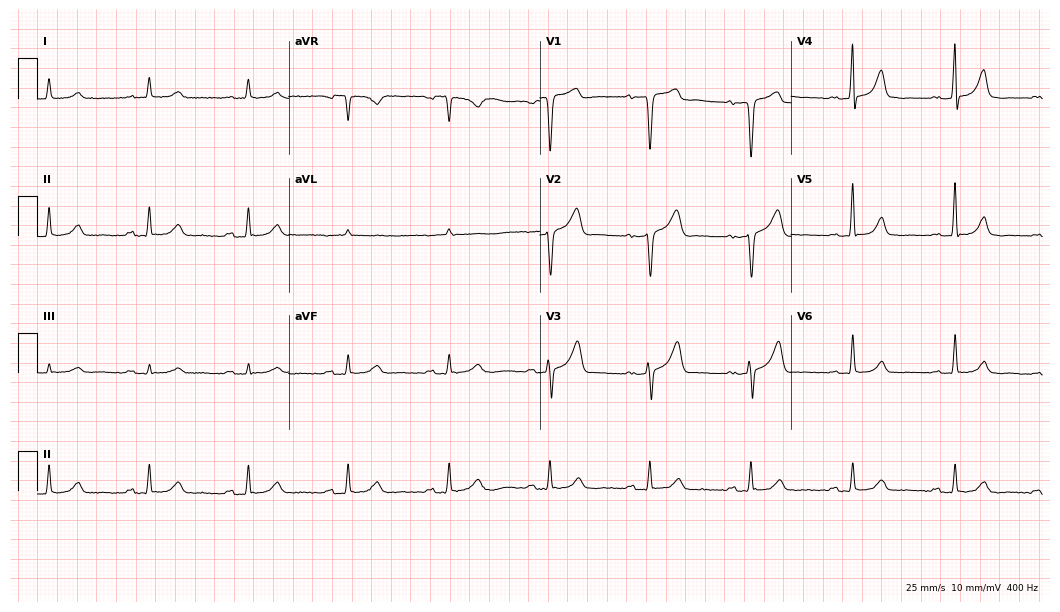
ECG — a male, 72 years old. Findings include first-degree AV block.